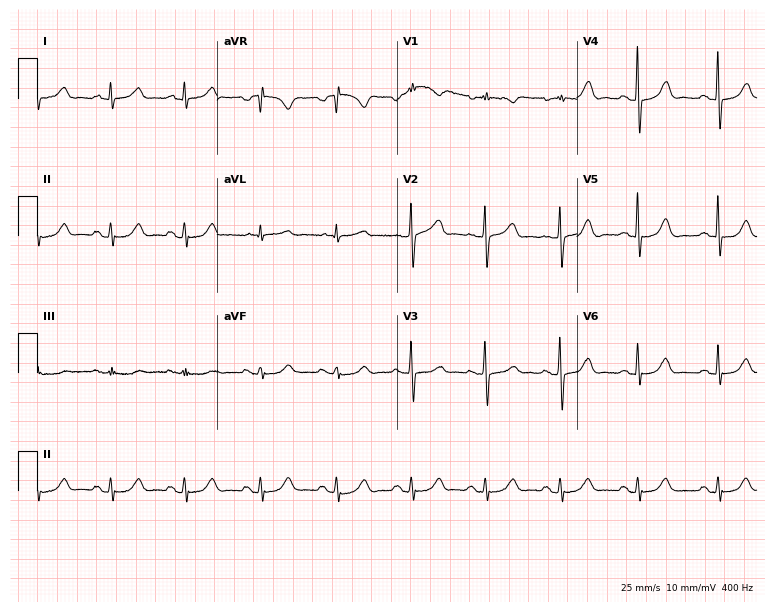
Standard 12-lead ECG recorded from a woman, 58 years old (7.3-second recording at 400 Hz). None of these six findings is recorded: first-degree AV block, right bundle branch block, left bundle branch block, sinus bradycardia, atrial fibrillation, sinus tachycardia. Findings outside these six are not listed.